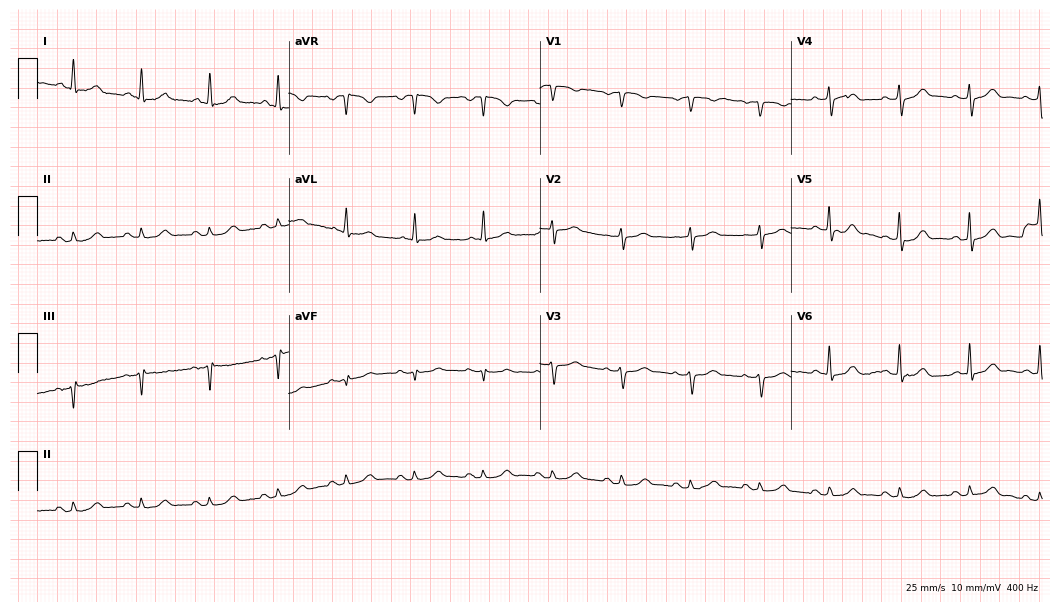
Electrocardiogram (10.2-second recording at 400 Hz), a 78-year-old male. Overall reading on record: normal ECG.